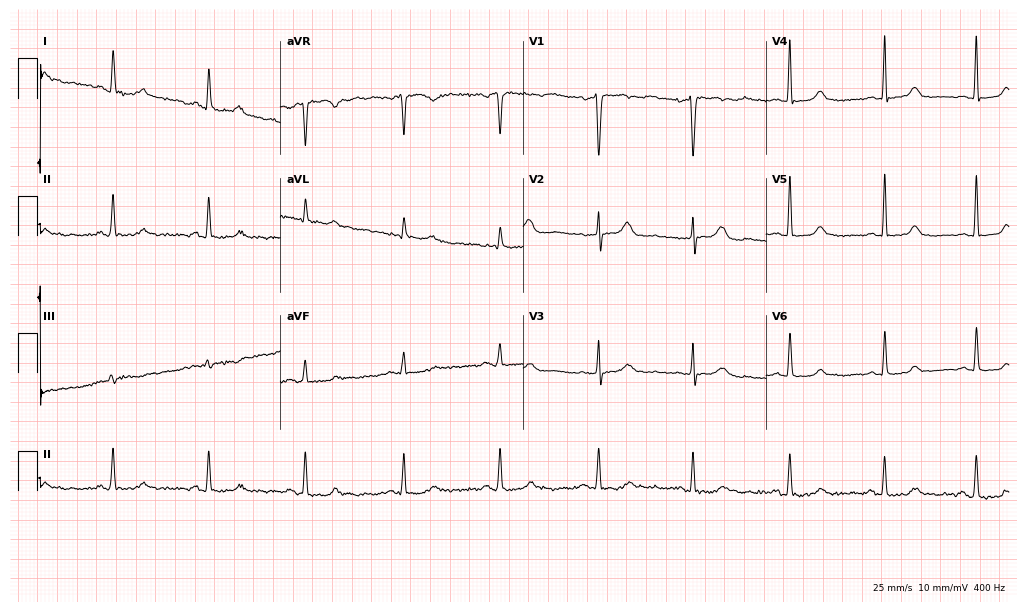
ECG (9.9-second recording at 400 Hz) — a woman, 64 years old. Labelled as a normal ECG.